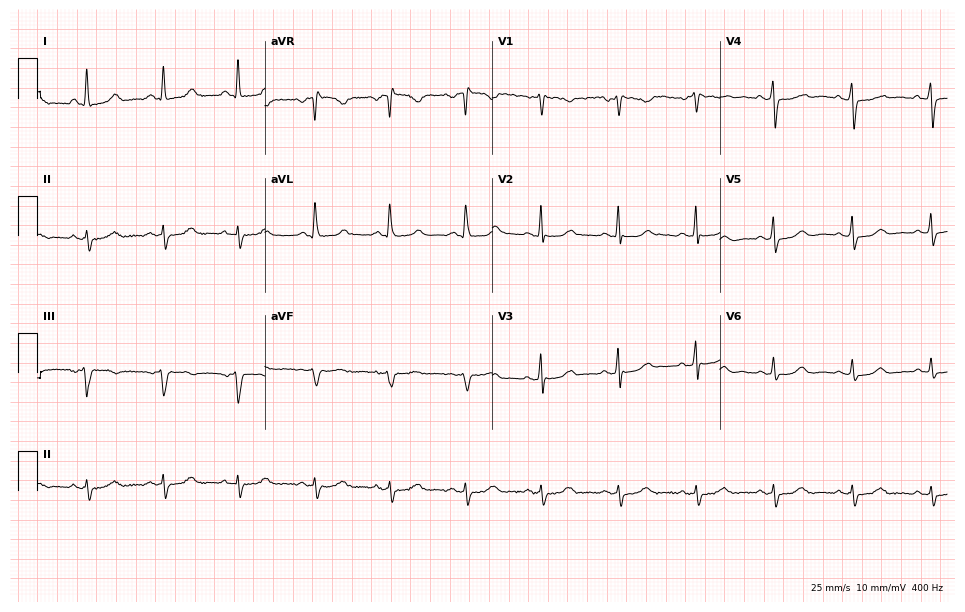
12-lead ECG from a female, 56 years old. Labelled as a normal ECG.